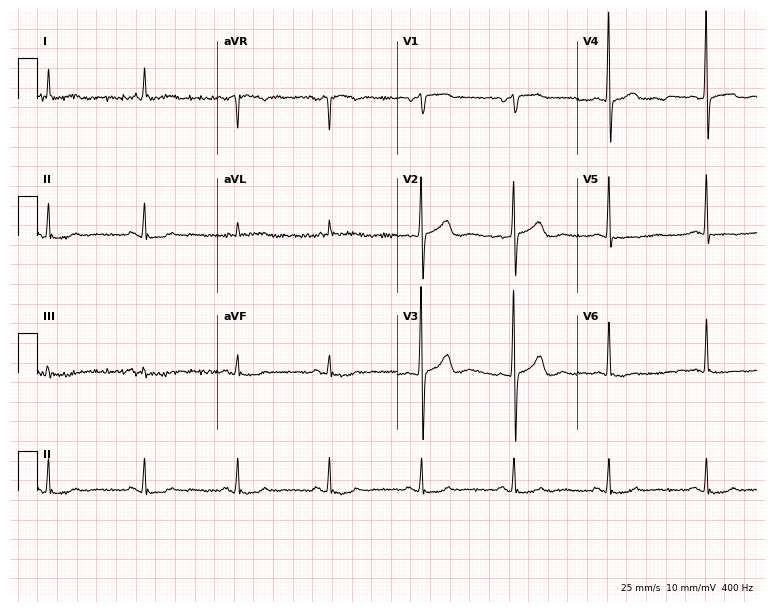
Electrocardiogram (7.3-second recording at 400 Hz), a man, 76 years old. Of the six screened findings (first-degree AV block, right bundle branch block (RBBB), left bundle branch block (LBBB), sinus bradycardia, atrial fibrillation (AF), sinus tachycardia), none is recorded. Other findings, if any, are not listed.